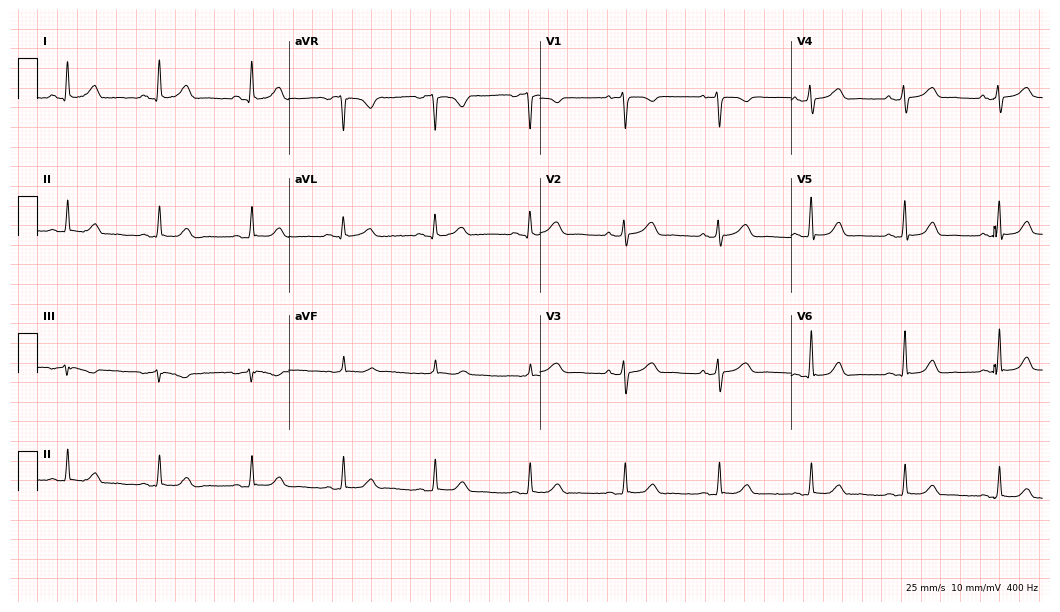
ECG — a female, 60 years old. Labelled as a normal ECG.